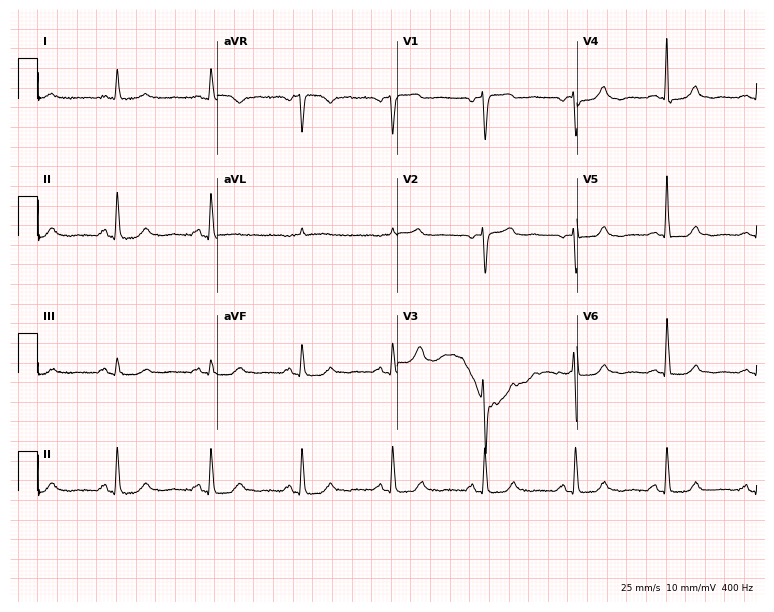
12-lead ECG from a 78-year-old female patient. Screened for six findings — first-degree AV block, right bundle branch block, left bundle branch block, sinus bradycardia, atrial fibrillation, sinus tachycardia — none is recorded. Only these six findings were labelled.